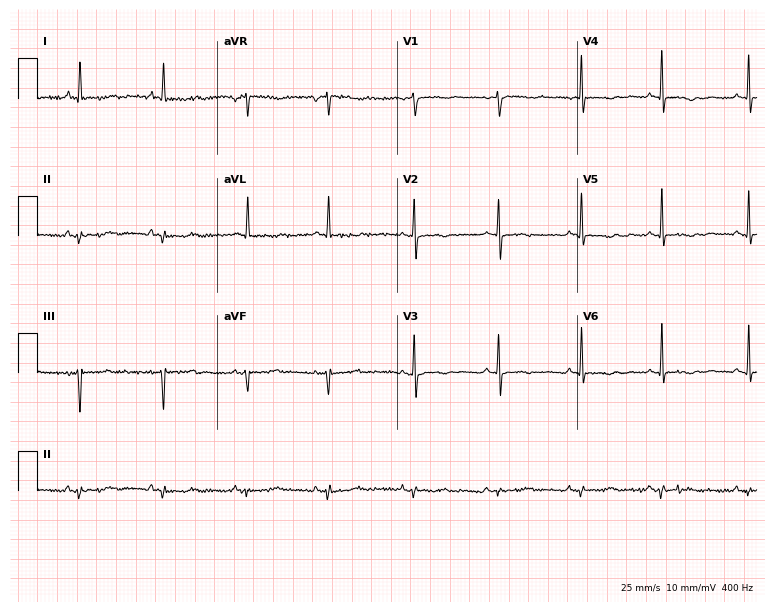
12-lead ECG from a 74-year-old woman (7.3-second recording at 400 Hz). No first-degree AV block, right bundle branch block (RBBB), left bundle branch block (LBBB), sinus bradycardia, atrial fibrillation (AF) or sinus tachycardia recorded for this tracing.